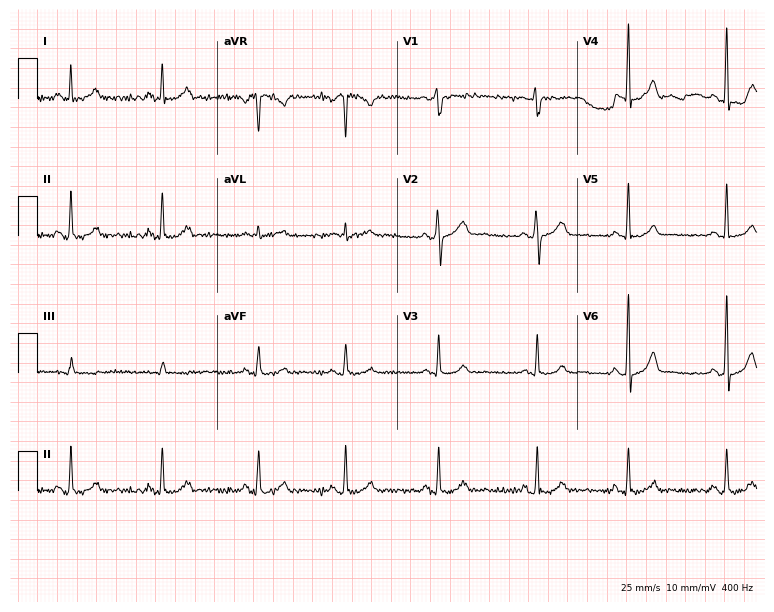
12-lead ECG from a 43-year-old female patient. Labelled as a normal ECG.